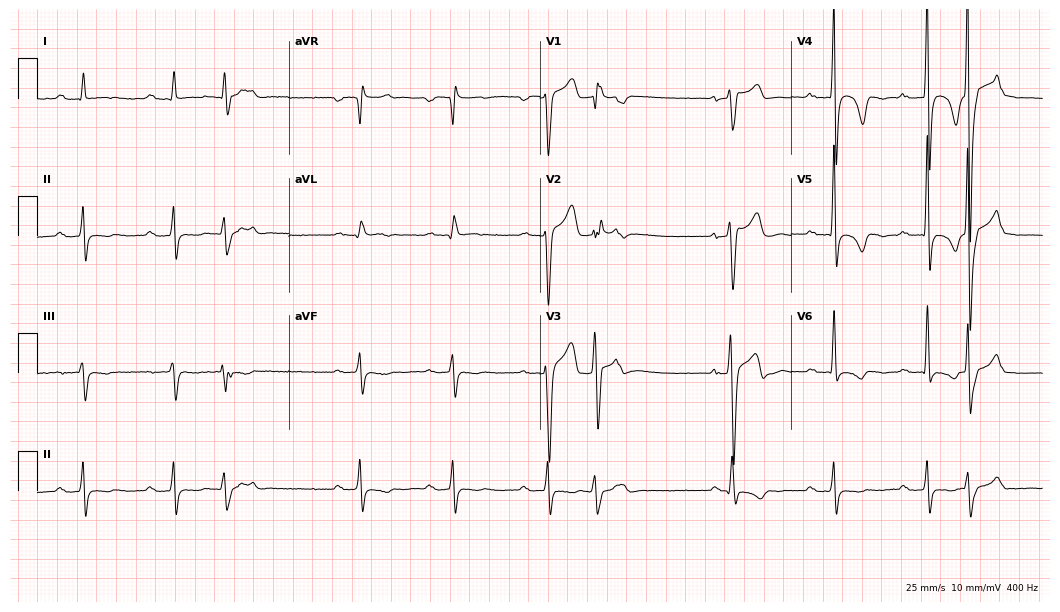
12-lead ECG from a 52-year-old man. Shows first-degree AV block.